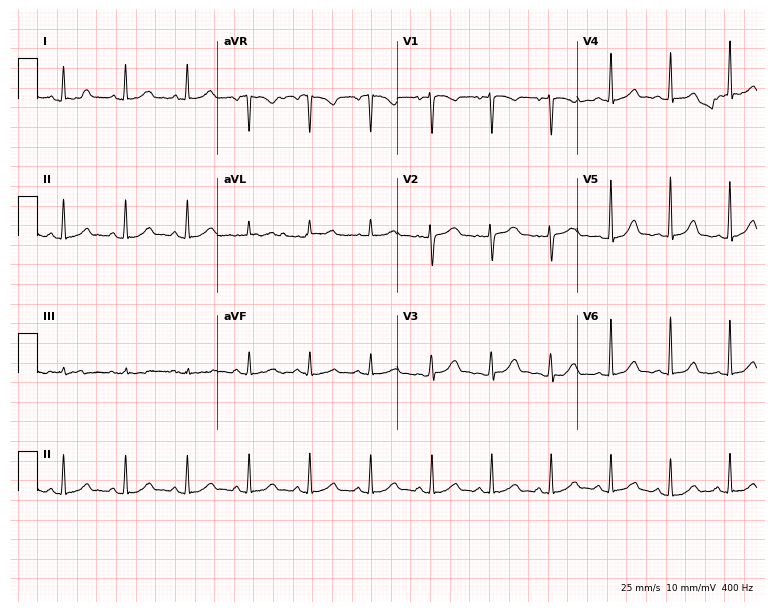
Resting 12-lead electrocardiogram. Patient: a 34-year-old woman. Read as a normal ECG.